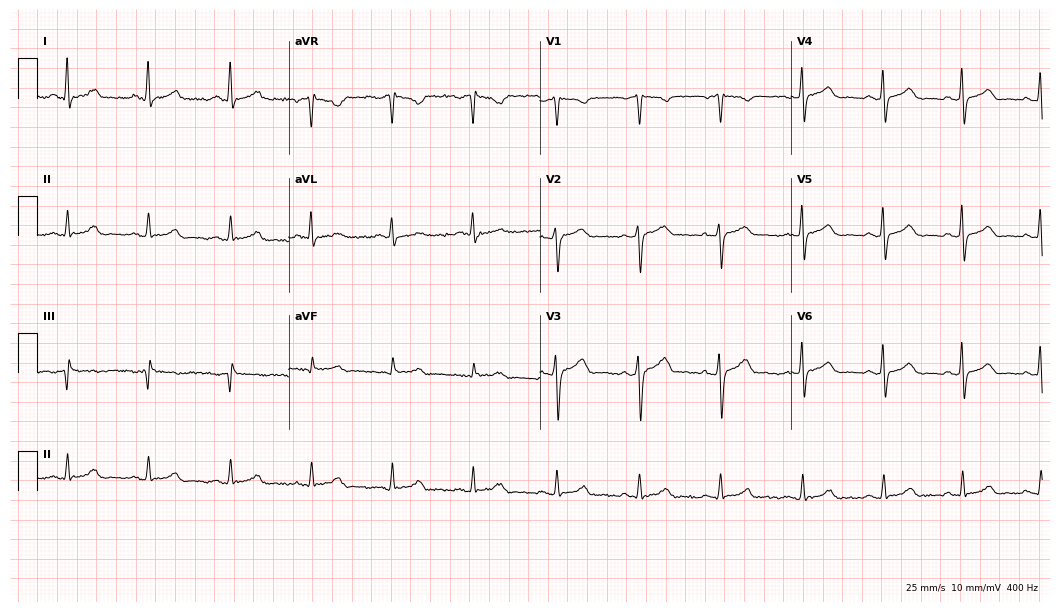
12-lead ECG (10.2-second recording at 400 Hz) from a man, 39 years old. Labelled as a normal ECG.